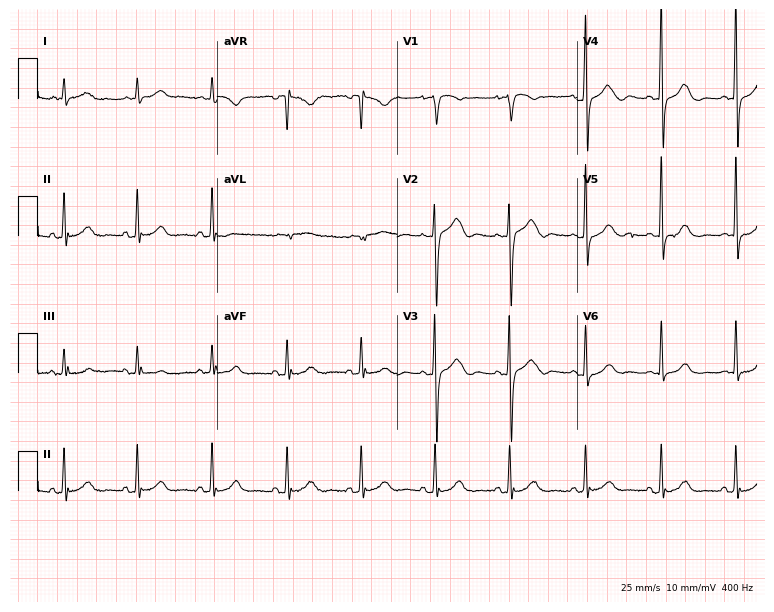
ECG (7.3-second recording at 400 Hz) — a female, 79 years old. Labelled as a normal ECG.